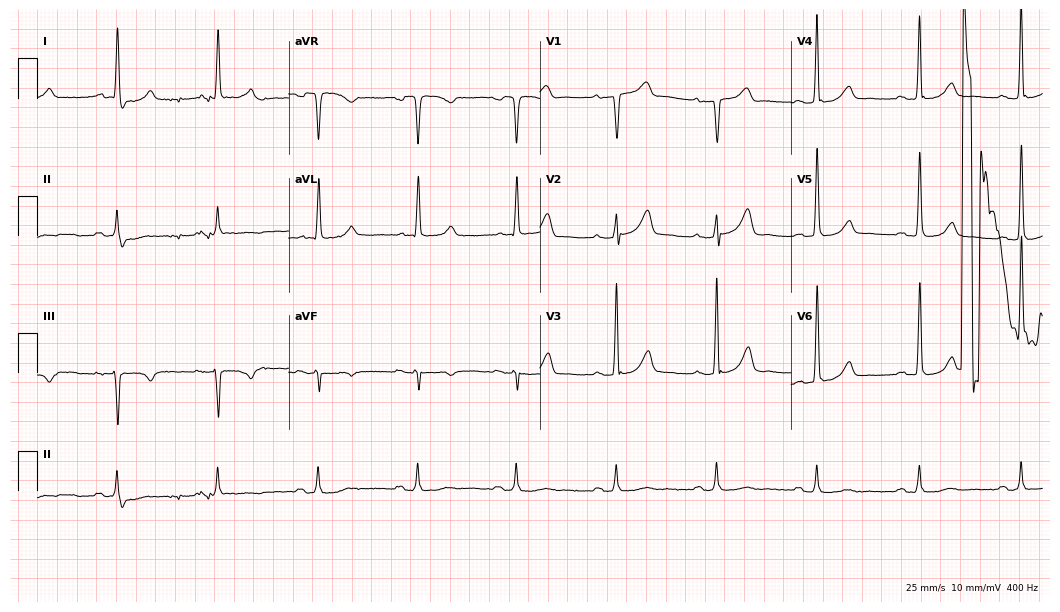
Standard 12-lead ECG recorded from a man, 70 years old. None of these six findings is recorded: first-degree AV block, right bundle branch block, left bundle branch block, sinus bradycardia, atrial fibrillation, sinus tachycardia.